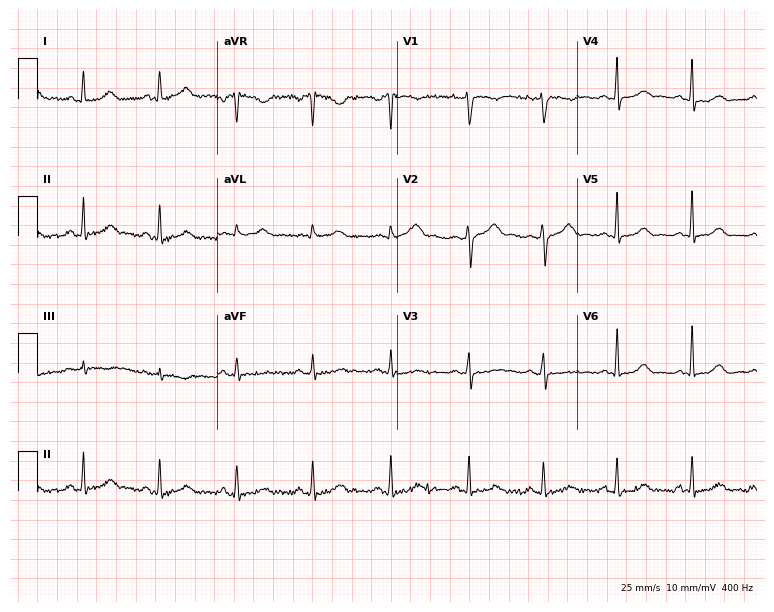
12-lead ECG from a female, 27 years old. No first-degree AV block, right bundle branch block, left bundle branch block, sinus bradycardia, atrial fibrillation or sinus tachycardia recorded for this tracing.